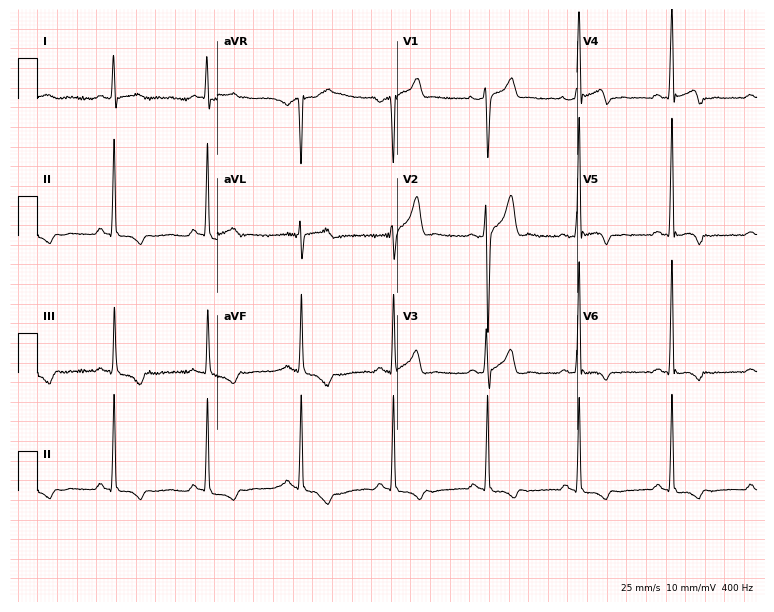
Electrocardiogram, a man, 29 years old. Of the six screened findings (first-degree AV block, right bundle branch block, left bundle branch block, sinus bradycardia, atrial fibrillation, sinus tachycardia), none is recorded.